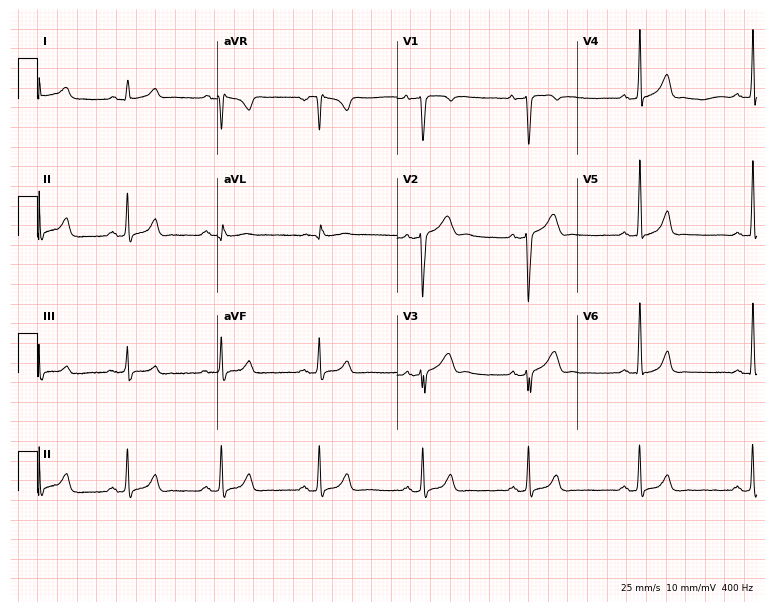
12-lead ECG from a male patient, 22 years old. Screened for six findings — first-degree AV block, right bundle branch block, left bundle branch block, sinus bradycardia, atrial fibrillation, sinus tachycardia — none is recorded.